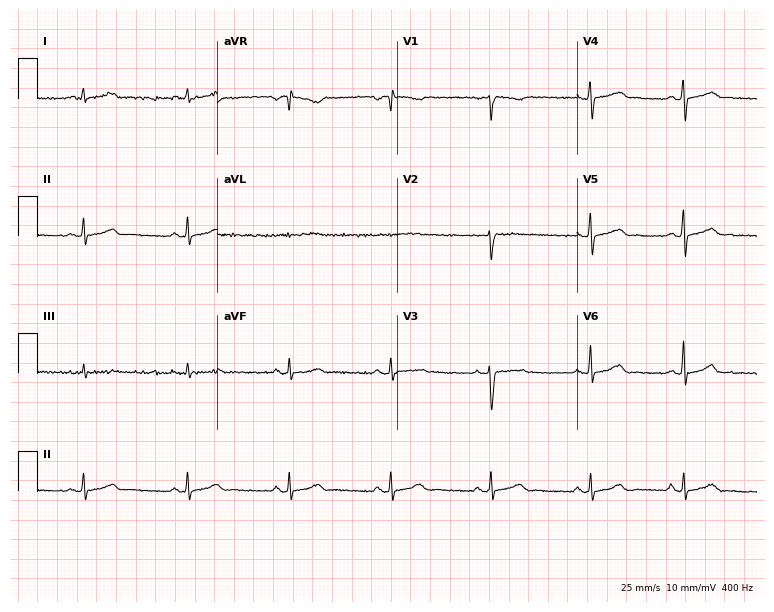
Standard 12-lead ECG recorded from a 28-year-old woman. Read as a normal ECG.